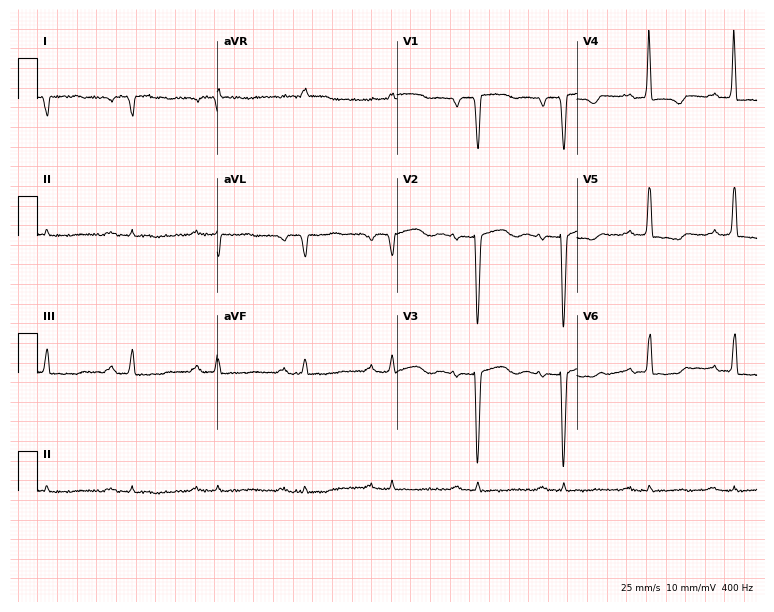
12-lead ECG from a 51-year-old male patient. Screened for six findings — first-degree AV block, right bundle branch block, left bundle branch block, sinus bradycardia, atrial fibrillation, sinus tachycardia — none is recorded. Findings outside these six are not listed.